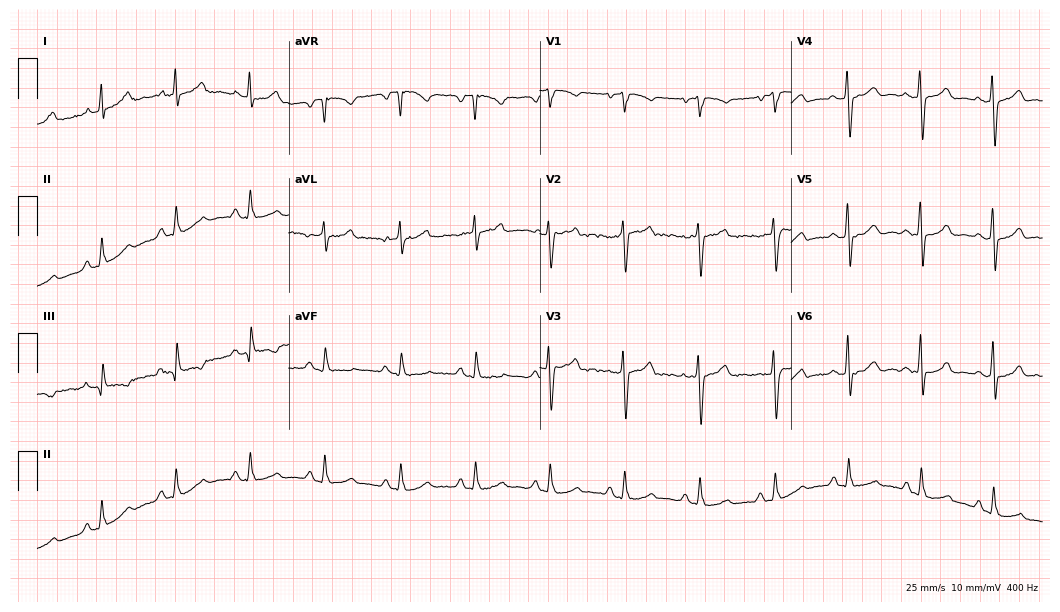
Resting 12-lead electrocardiogram (10.2-second recording at 400 Hz). Patient: a 45-year-old female. Read as a normal ECG.